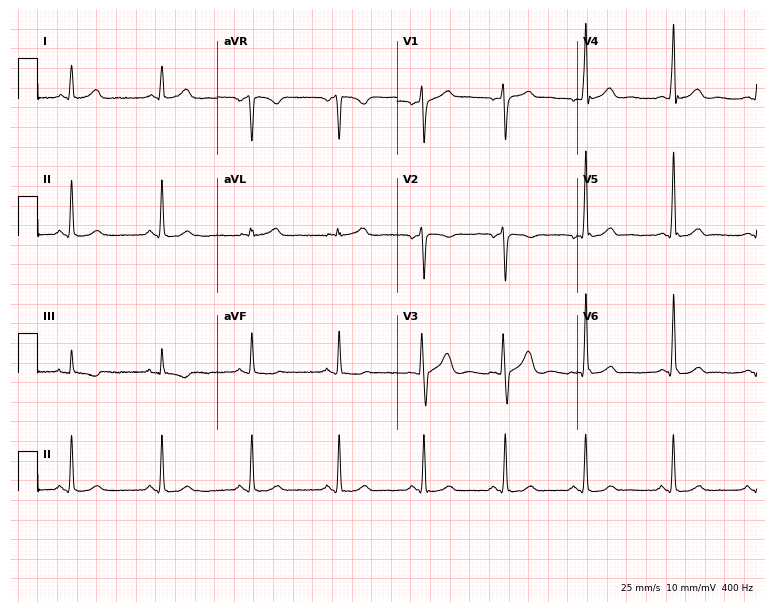
Electrocardiogram (7.3-second recording at 400 Hz), a 31-year-old male patient. Of the six screened findings (first-degree AV block, right bundle branch block (RBBB), left bundle branch block (LBBB), sinus bradycardia, atrial fibrillation (AF), sinus tachycardia), none is recorded.